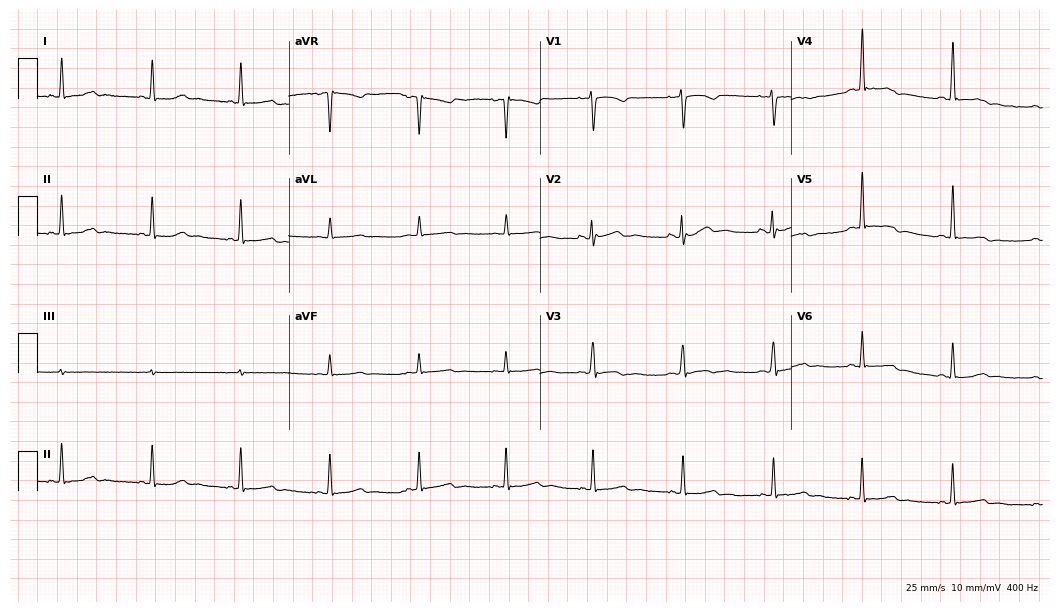
Resting 12-lead electrocardiogram. Patient: a female, 34 years old. None of these six findings is recorded: first-degree AV block, right bundle branch block, left bundle branch block, sinus bradycardia, atrial fibrillation, sinus tachycardia. Findings outside these six are not listed.